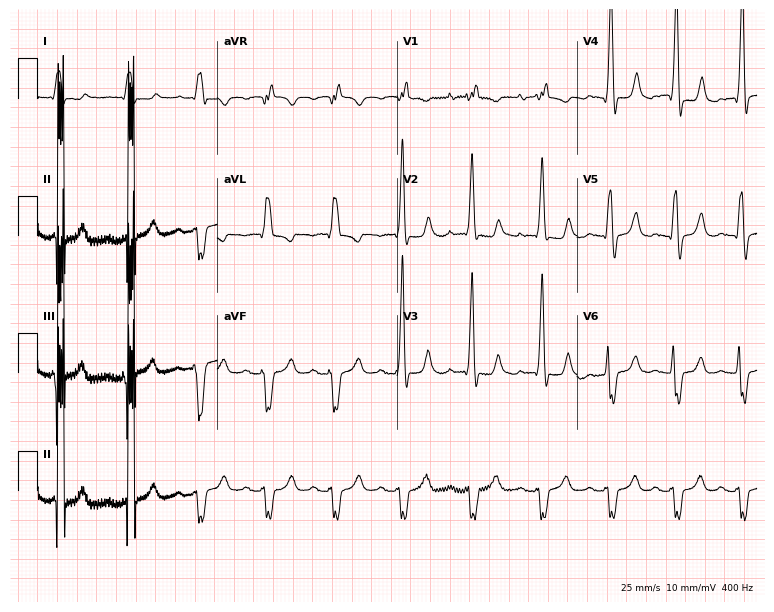
Resting 12-lead electrocardiogram. Patient: a female, 85 years old. The tracing shows right bundle branch block (RBBB).